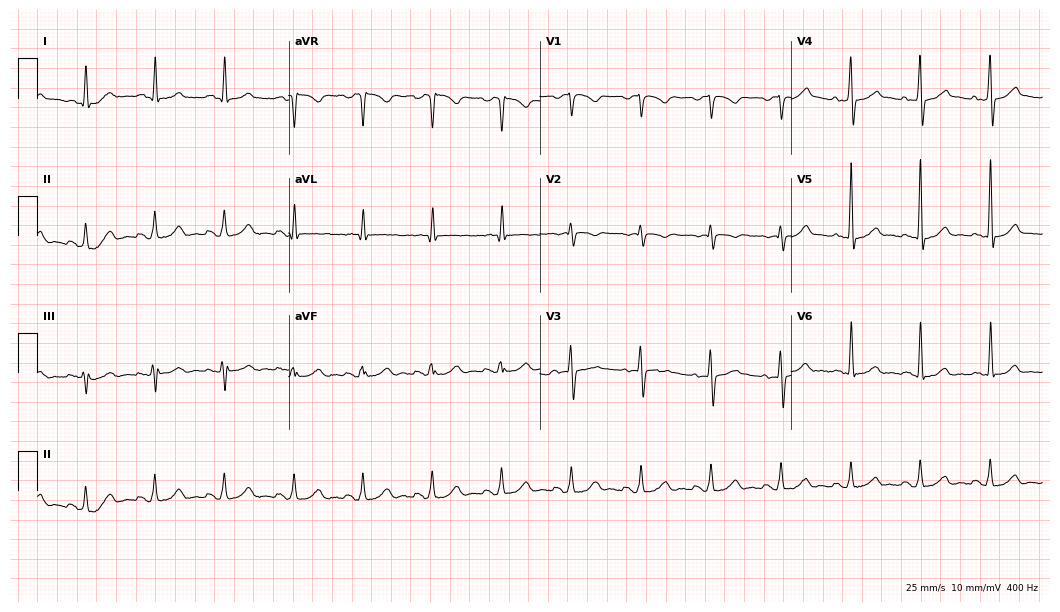
12-lead ECG from a 57-year-old man. Labelled as a normal ECG.